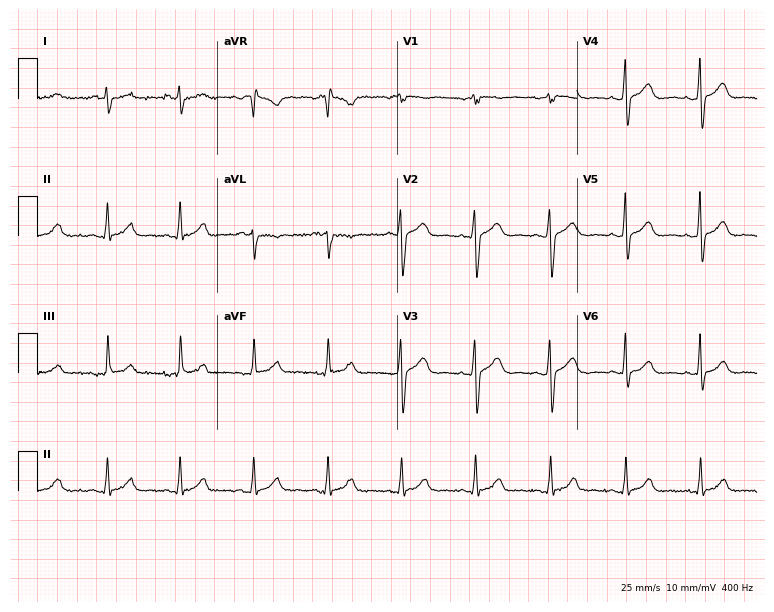
Electrocardiogram (7.3-second recording at 400 Hz), a man, 56 years old. Of the six screened findings (first-degree AV block, right bundle branch block (RBBB), left bundle branch block (LBBB), sinus bradycardia, atrial fibrillation (AF), sinus tachycardia), none is recorded. Other findings, if any, are not listed.